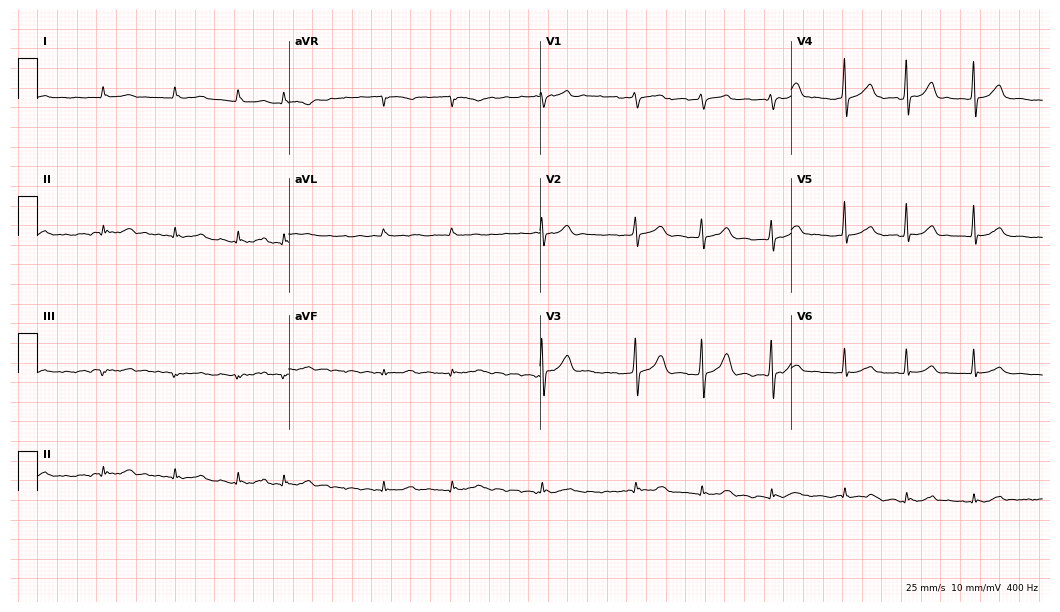
12-lead ECG from an 85-year-old male patient. Shows atrial fibrillation (AF).